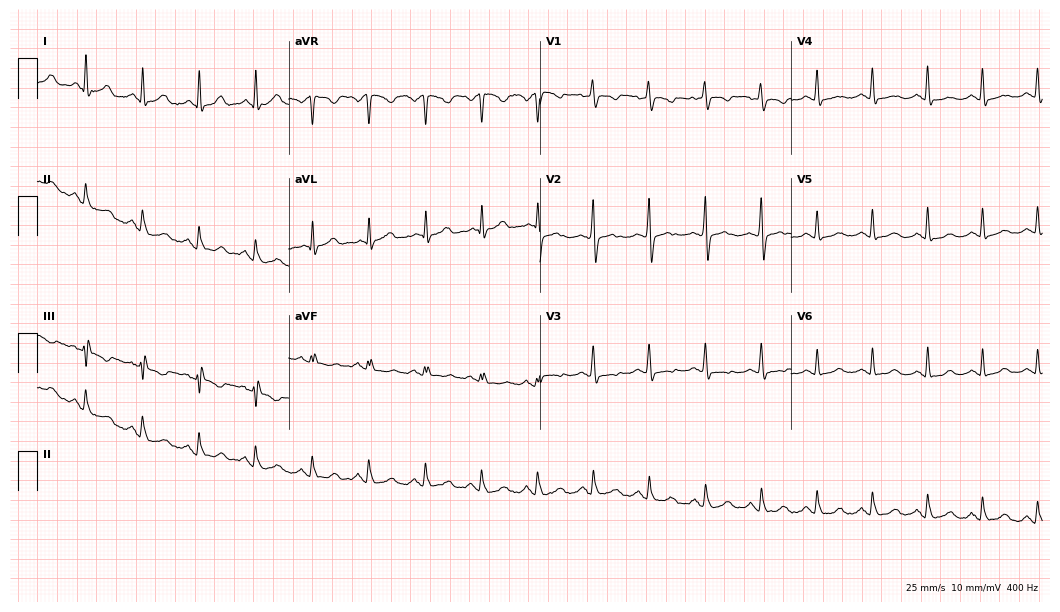
Electrocardiogram (10.2-second recording at 400 Hz), a 55-year-old female. Interpretation includes sinus tachycardia (a sinus rate of 100 beats per minute or more).